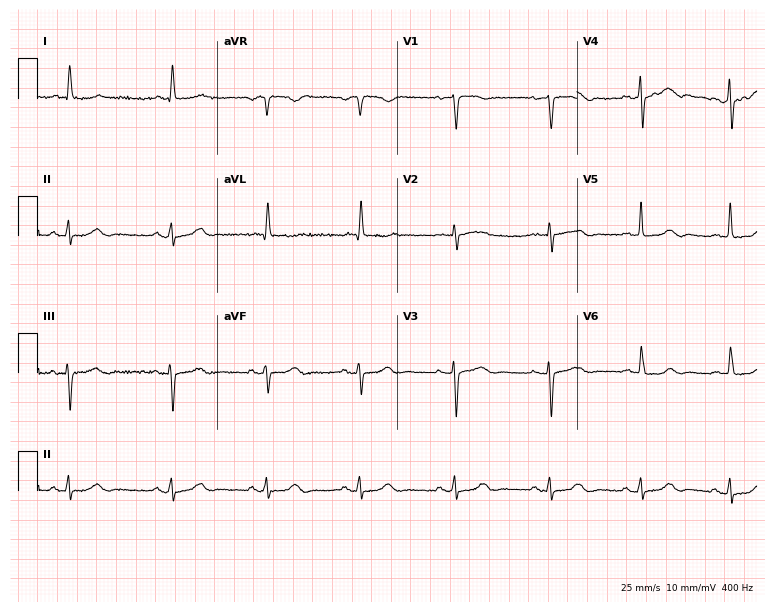
ECG (7.3-second recording at 400 Hz) — a female patient, 73 years old. Labelled as a normal ECG.